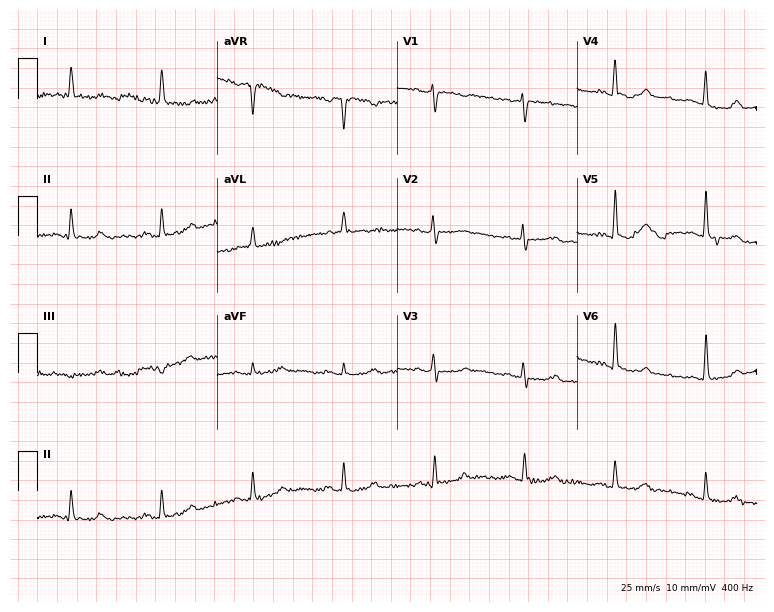
12-lead ECG from a female, 75 years old. No first-degree AV block, right bundle branch block, left bundle branch block, sinus bradycardia, atrial fibrillation or sinus tachycardia recorded for this tracing. Other findings, if any, are not listed.